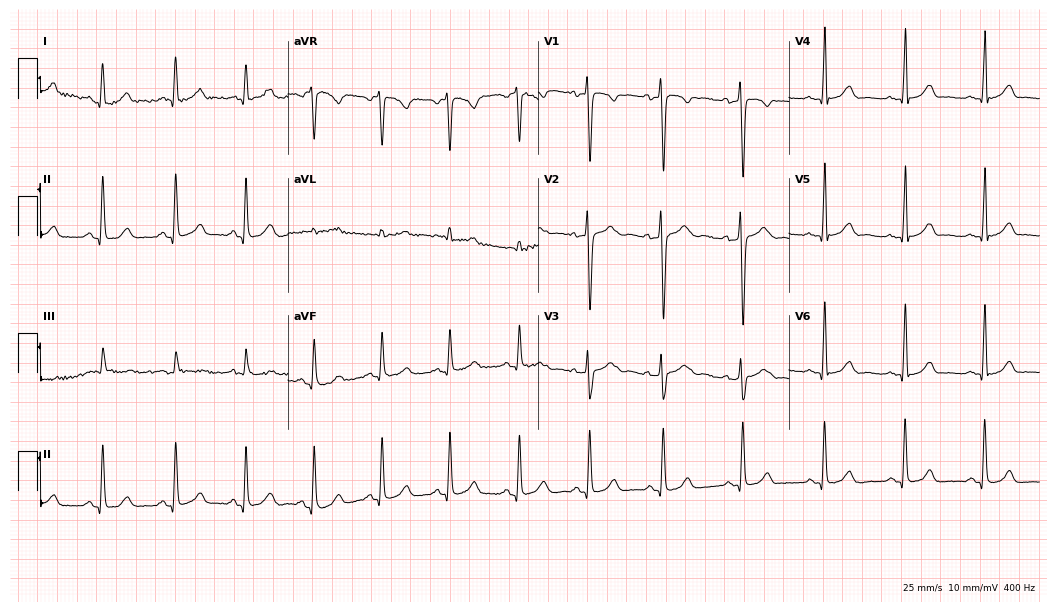
12-lead ECG from a female patient, 38 years old. Labelled as a normal ECG.